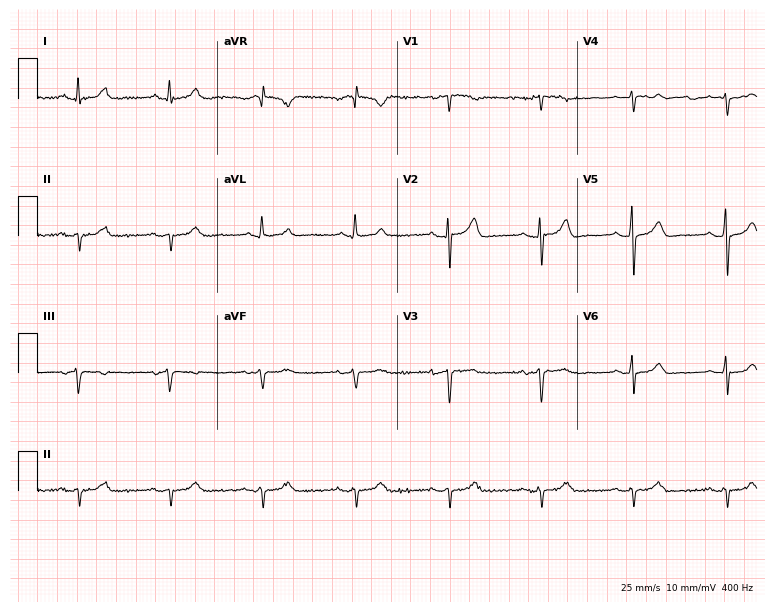
12-lead ECG from a 69-year-old man. No first-degree AV block, right bundle branch block, left bundle branch block, sinus bradycardia, atrial fibrillation or sinus tachycardia recorded for this tracing. Other findings, if any, are not listed.